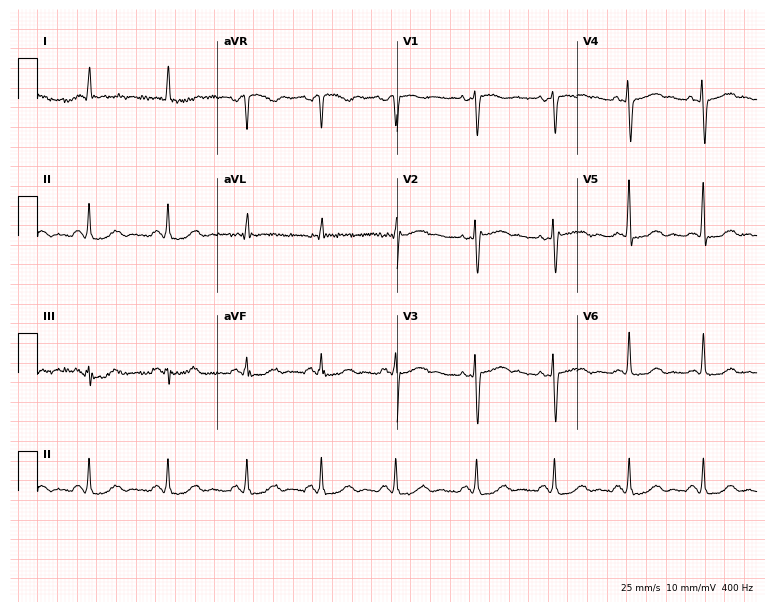
12-lead ECG (7.3-second recording at 400 Hz) from a female, 64 years old. Screened for six findings — first-degree AV block, right bundle branch block, left bundle branch block, sinus bradycardia, atrial fibrillation, sinus tachycardia — none is recorded.